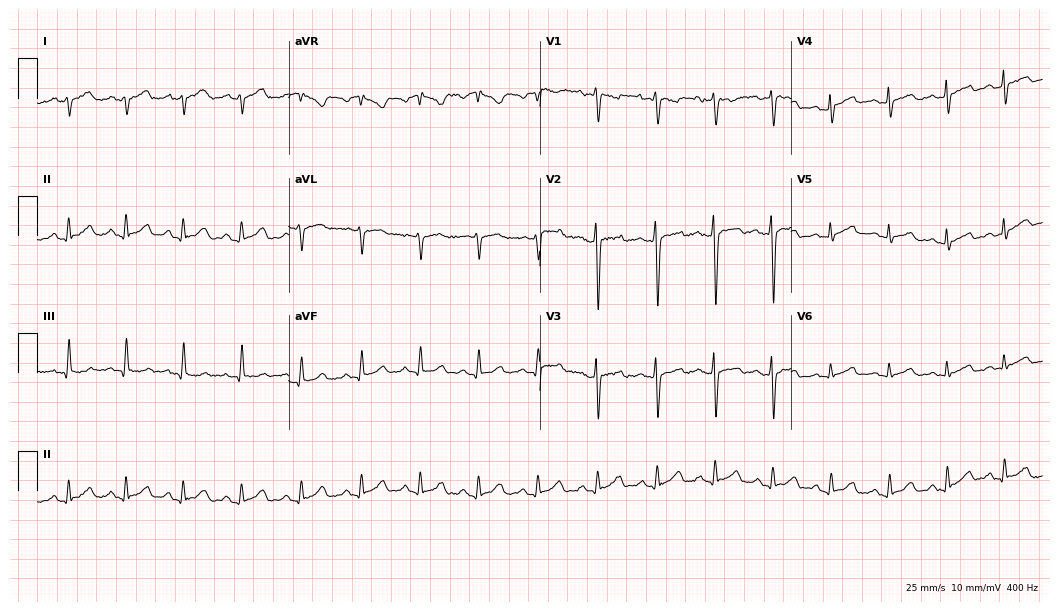
12-lead ECG from a 26-year-old man. Shows sinus tachycardia (a sinus rate of 100 beats per minute or more).